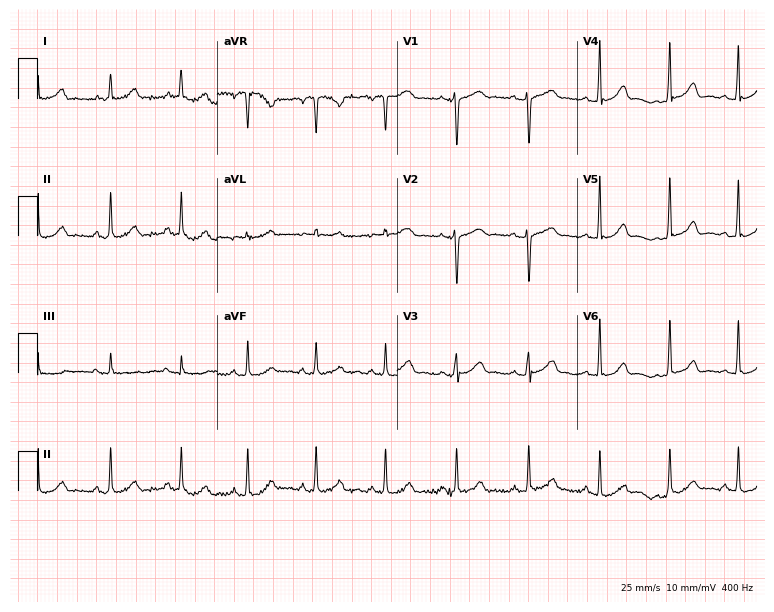
12-lead ECG from a female patient, 35 years old. Recorded interpretation: within normal limits.